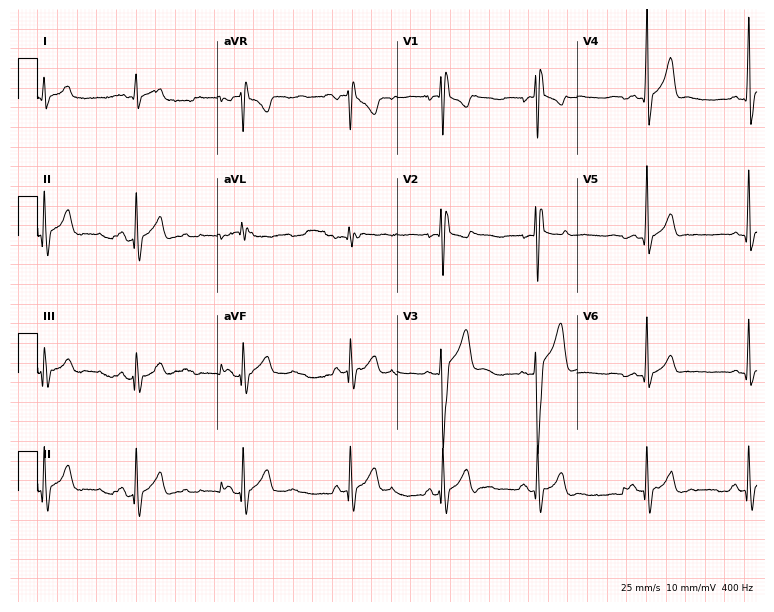
12-lead ECG from a 19-year-old male patient. No first-degree AV block, right bundle branch block, left bundle branch block, sinus bradycardia, atrial fibrillation or sinus tachycardia recorded for this tracing.